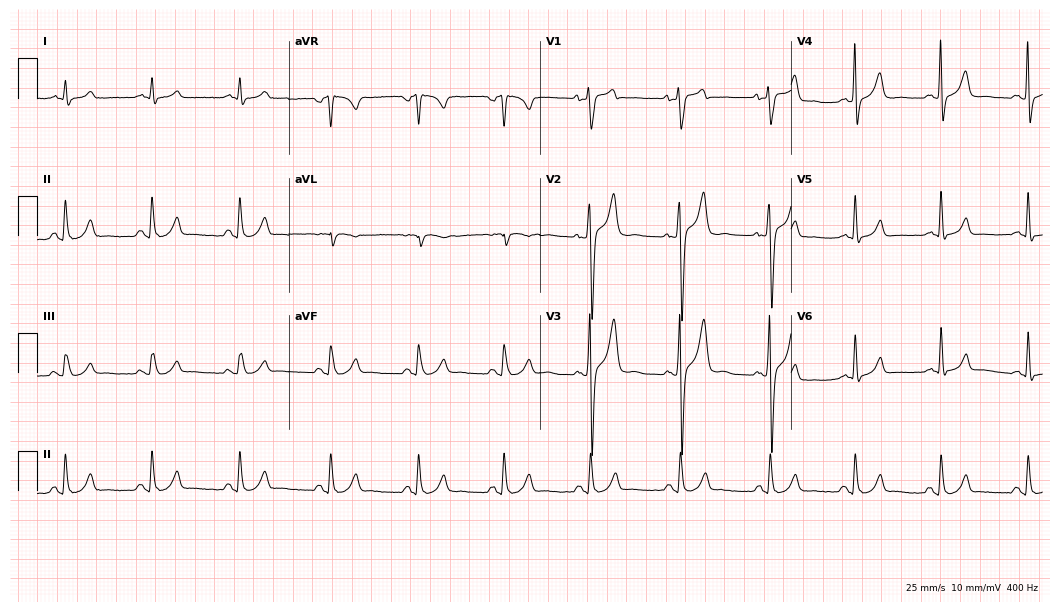
Electrocardiogram (10.2-second recording at 400 Hz), a woman, 35 years old. Of the six screened findings (first-degree AV block, right bundle branch block, left bundle branch block, sinus bradycardia, atrial fibrillation, sinus tachycardia), none is recorded. Only these six findings were labelled.